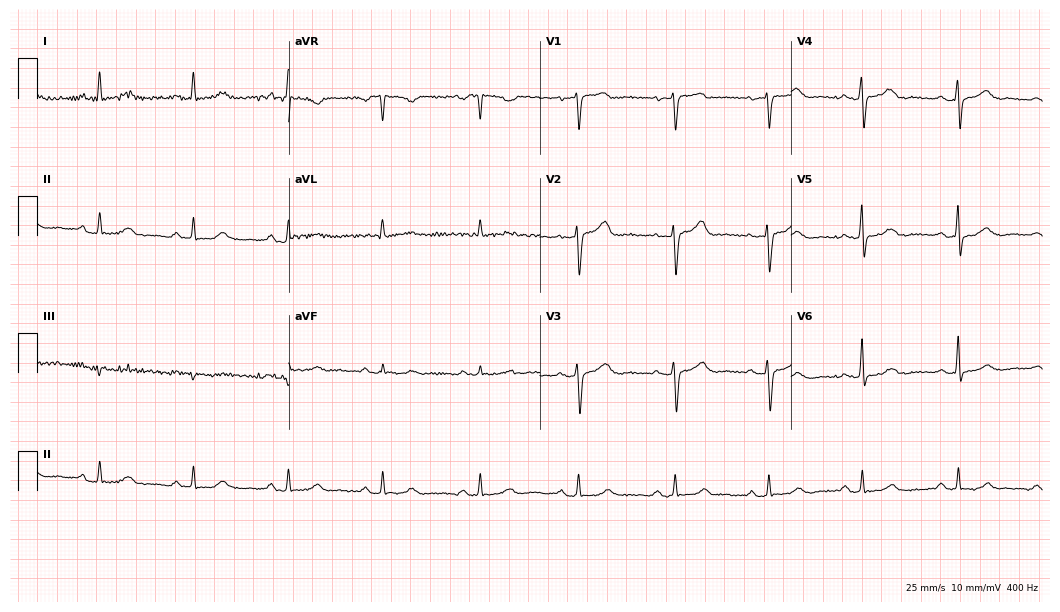
ECG (10.2-second recording at 400 Hz) — a 49-year-old female patient. Screened for six findings — first-degree AV block, right bundle branch block (RBBB), left bundle branch block (LBBB), sinus bradycardia, atrial fibrillation (AF), sinus tachycardia — none is recorded. Only these six findings were labelled.